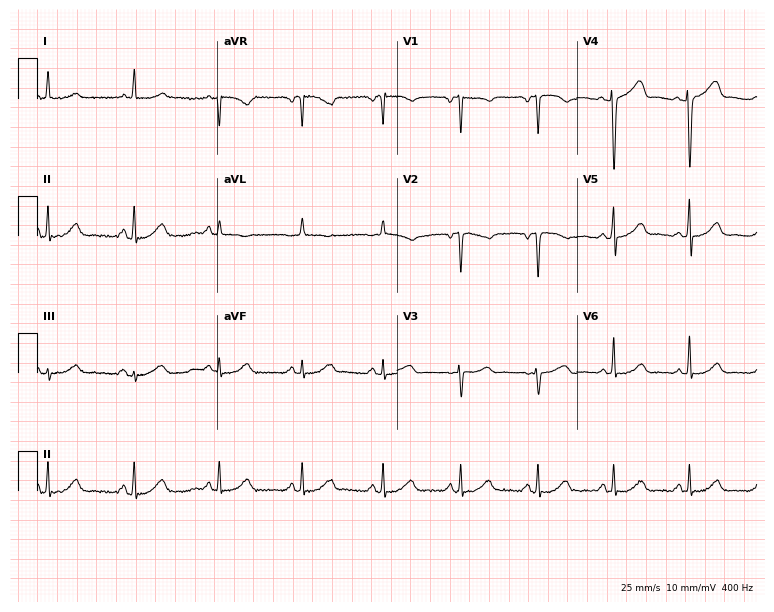
Standard 12-lead ECG recorded from a 44-year-old woman (7.3-second recording at 400 Hz). None of these six findings is recorded: first-degree AV block, right bundle branch block, left bundle branch block, sinus bradycardia, atrial fibrillation, sinus tachycardia. Only these six findings were labelled.